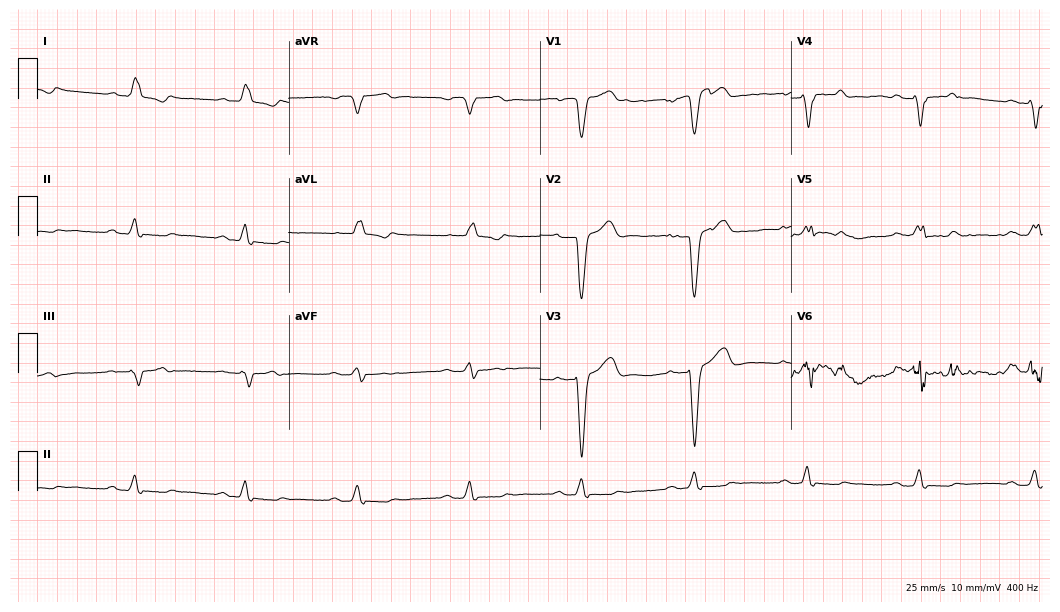
12-lead ECG from a male, 71 years old. Shows first-degree AV block, left bundle branch block (LBBB).